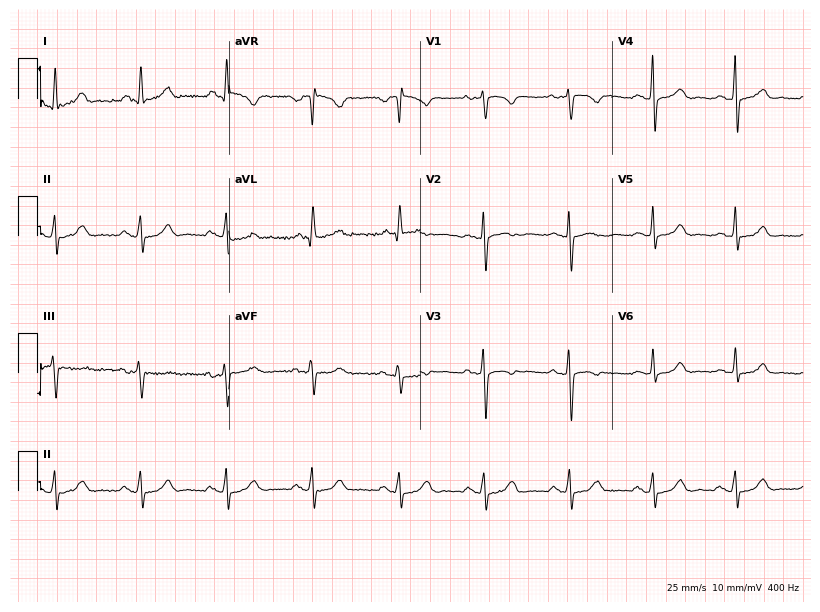
12-lead ECG from a 50-year-old woman. Recorded interpretation: within normal limits.